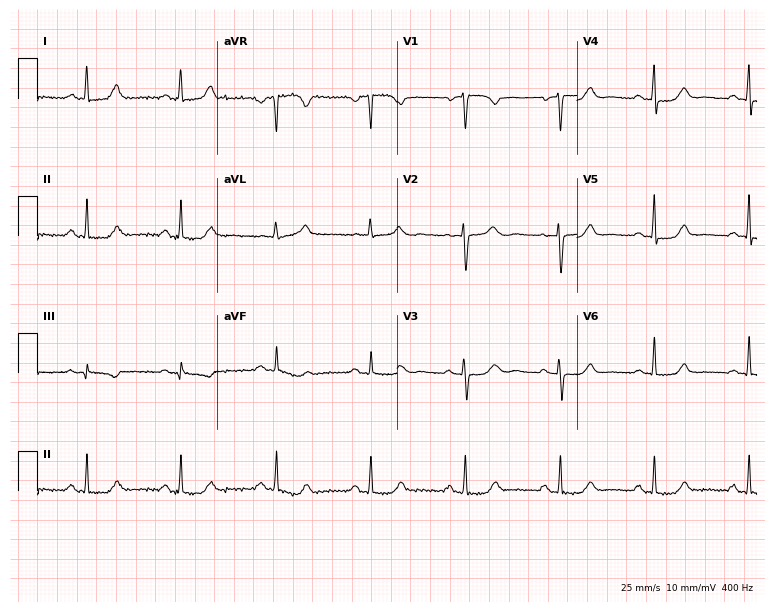
Electrocardiogram (7.3-second recording at 400 Hz), a 60-year-old female. Overall reading on record: normal ECG.